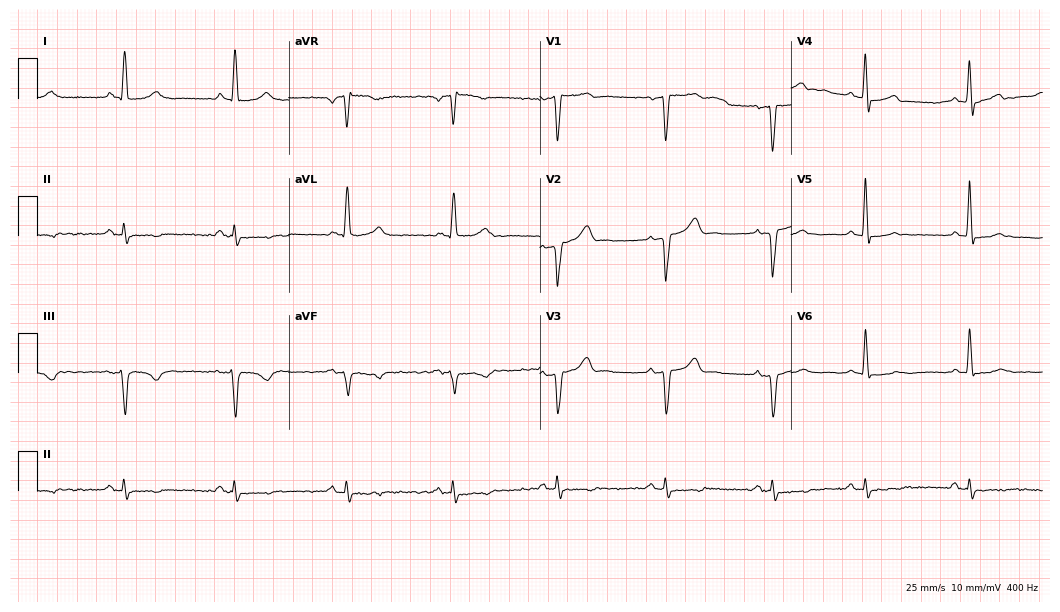
ECG (10.2-second recording at 400 Hz) — a 72-year-old male. Labelled as a normal ECG.